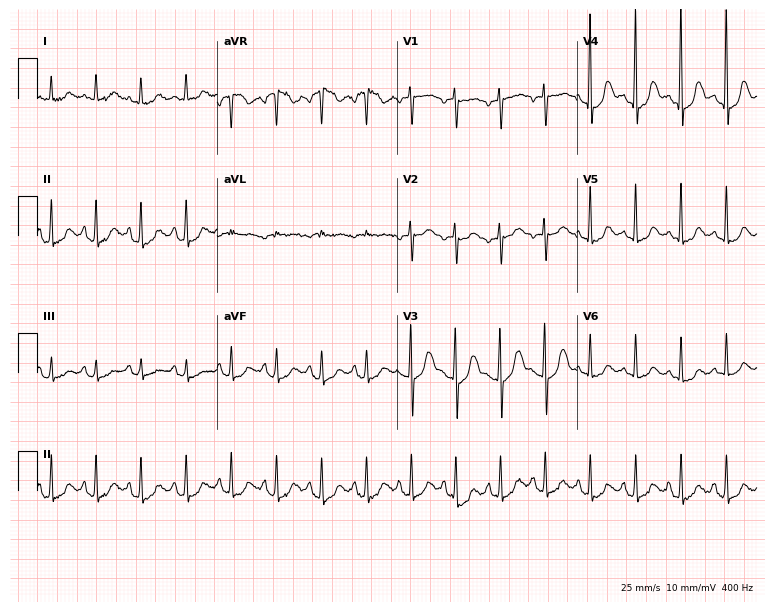
12-lead ECG from a woman, 73 years old (7.3-second recording at 400 Hz). Shows sinus tachycardia (a sinus rate of 100 beats per minute or more).